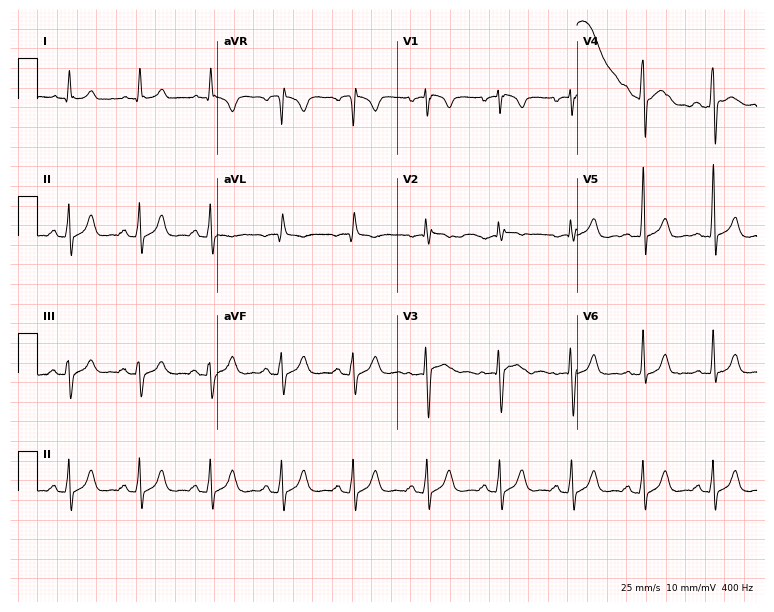
12-lead ECG (7.3-second recording at 400 Hz) from a male patient, 36 years old. Labelled as a normal ECG.